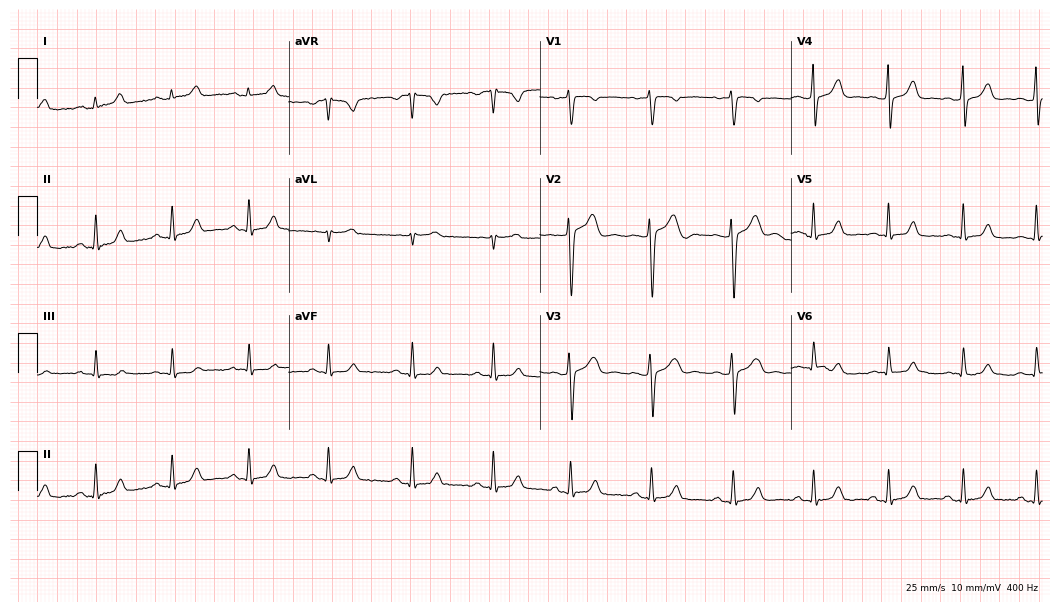
ECG — a 41-year-old female. Labelled as a normal ECG.